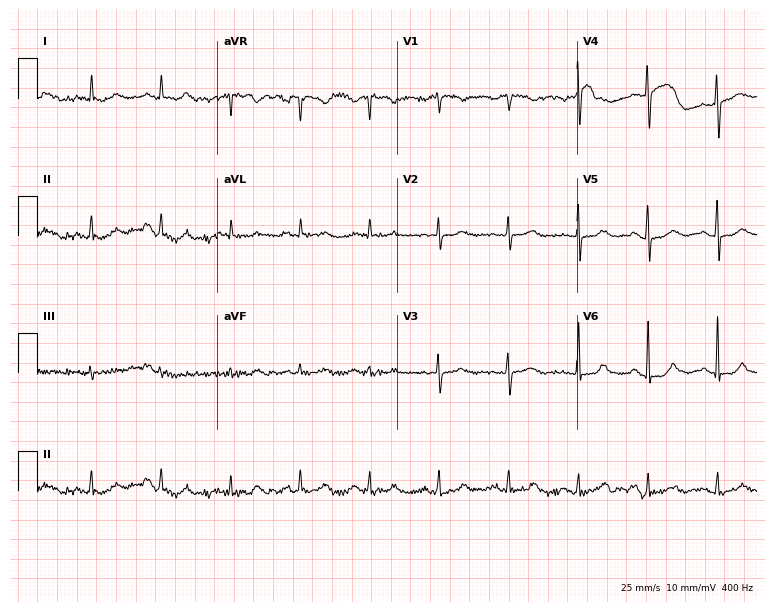
Standard 12-lead ECG recorded from a 63-year-old female patient (7.3-second recording at 400 Hz). None of these six findings is recorded: first-degree AV block, right bundle branch block (RBBB), left bundle branch block (LBBB), sinus bradycardia, atrial fibrillation (AF), sinus tachycardia. Findings outside these six are not listed.